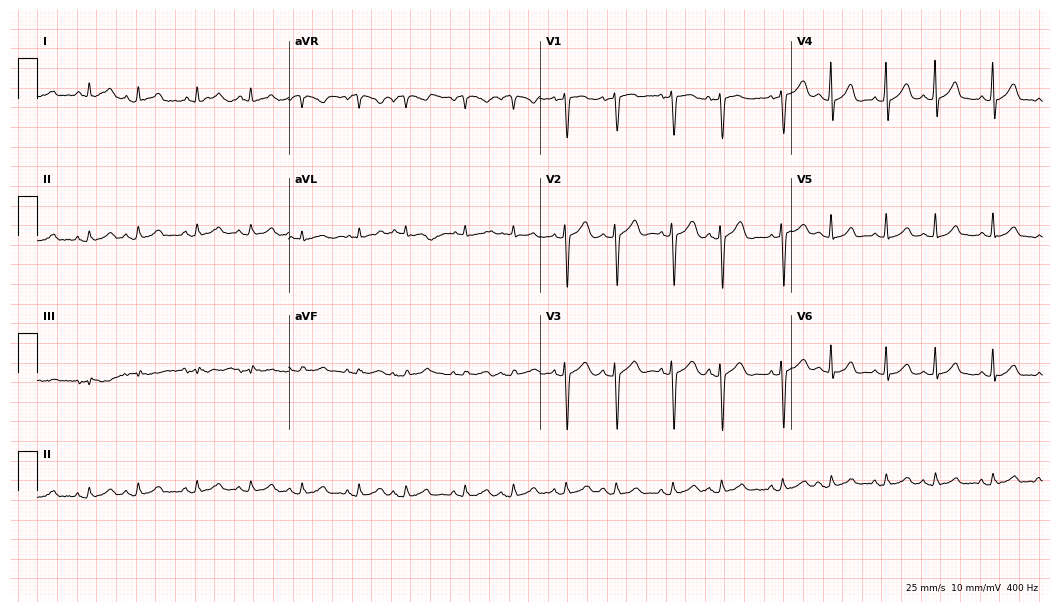
ECG — a 76-year-old woman. Findings include sinus tachycardia (a sinus rate of 100 beats per minute or more).